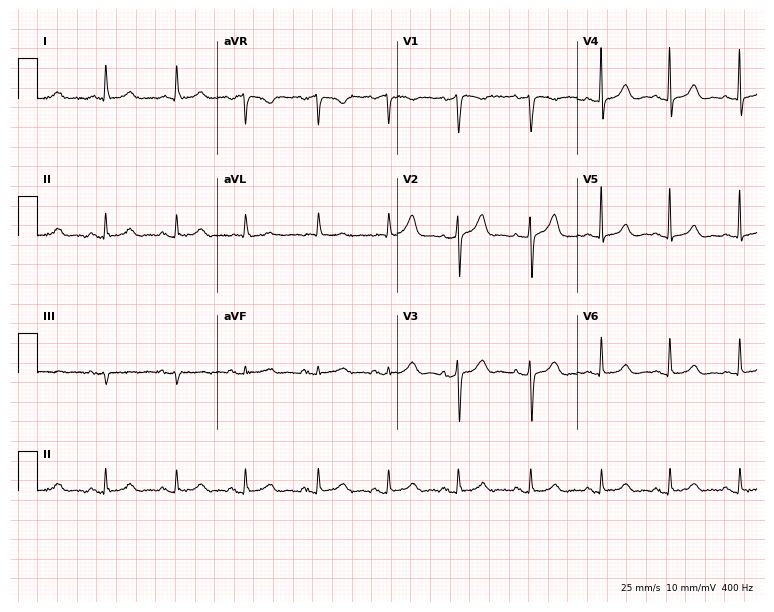
Resting 12-lead electrocardiogram (7.3-second recording at 400 Hz). Patient: a female, 82 years old. Read as a normal ECG.